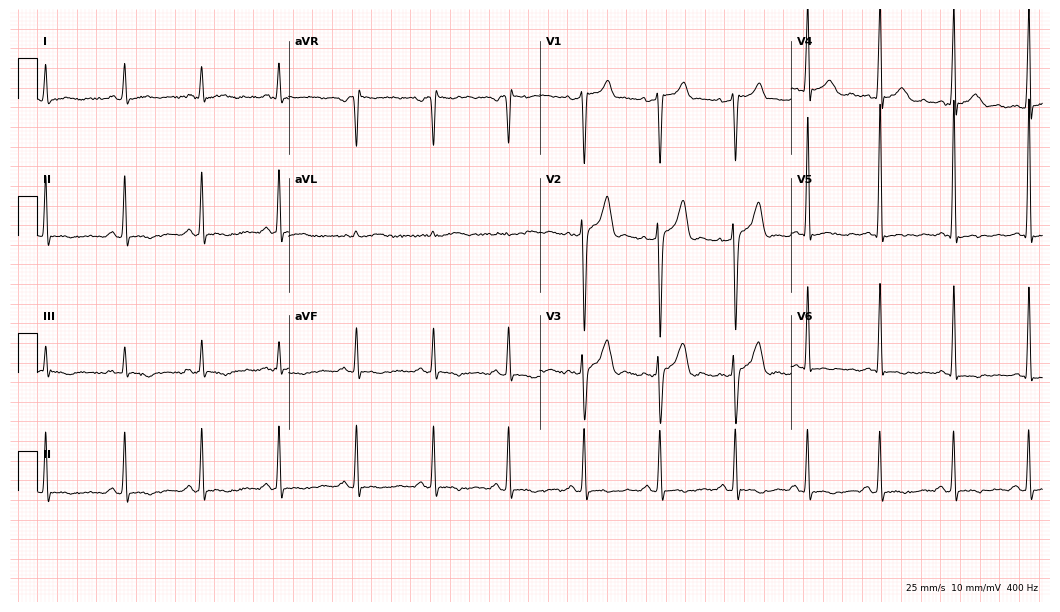
12-lead ECG from a 34-year-old male. Screened for six findings — first-degree AV block, right bundle branch block (RBBB), left bundle branch block (LBBB), sinus bradycardia, atrial fibrillation (AF), sinus tachycardia — none is recorded.